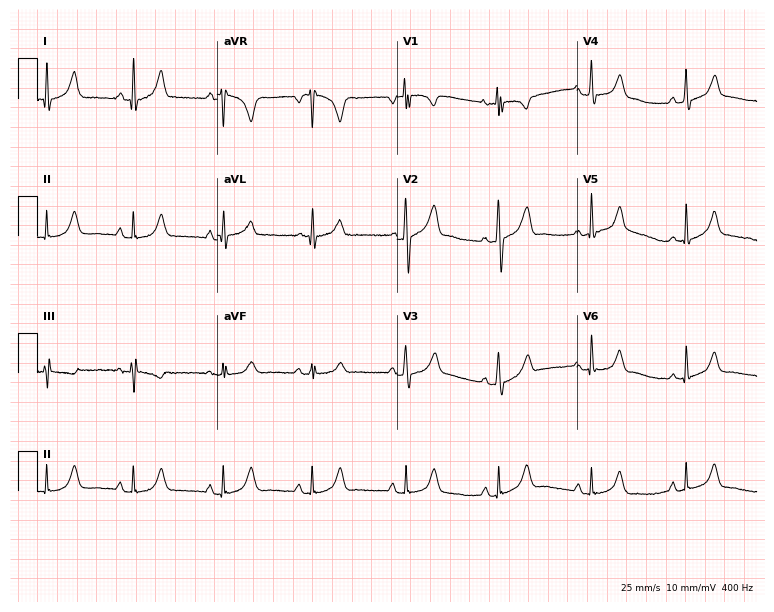
Standard 12-lead ECG recorded from a 42-year-old female patient (7.3-second recording at 400 Hz). Read as a normal ECG.